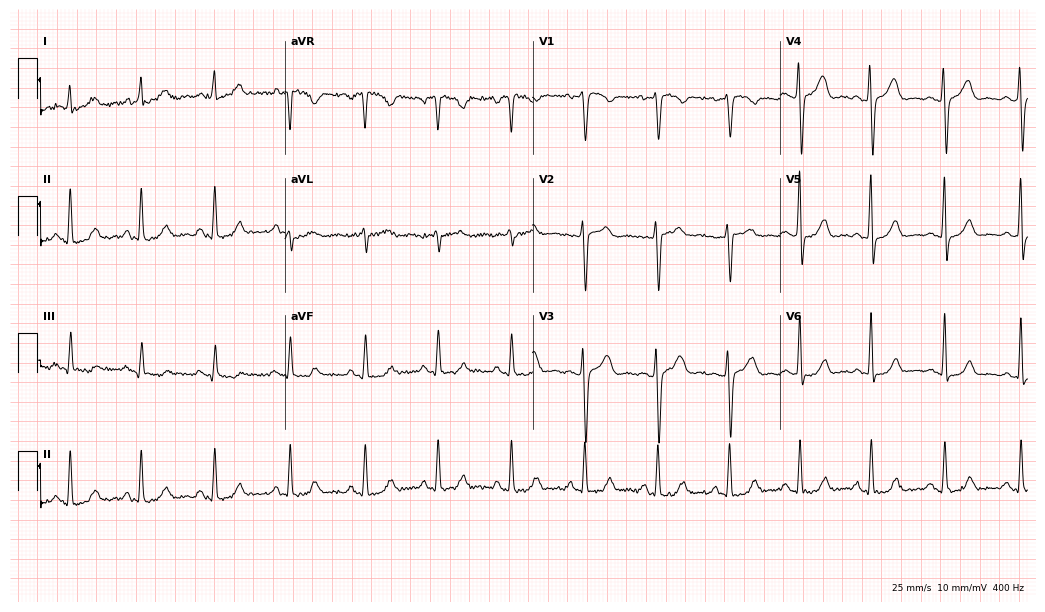
12-lead ECG from a 43-year-old woman. Labelled as a normal ECG.